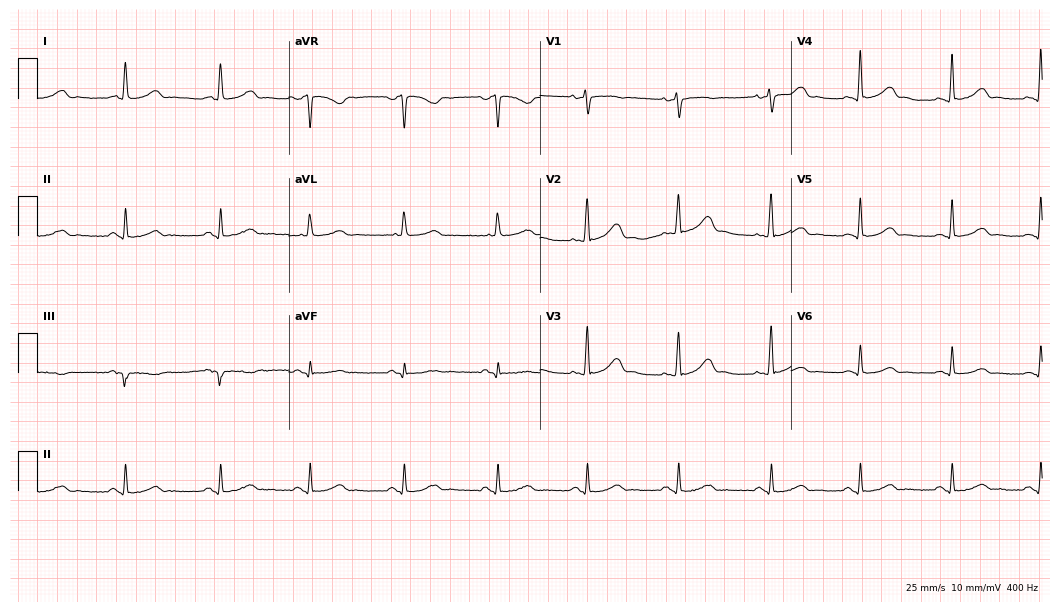
ECG (10.2-second recording at 400 Hz) — a 52-year-old woman. Labelled as a normal ECG.